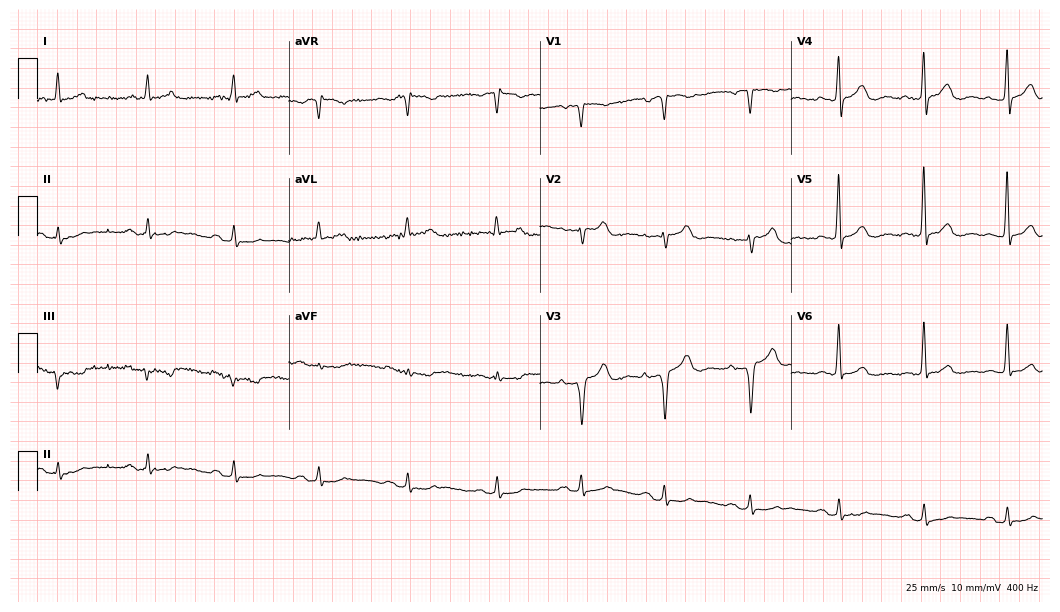
Resting 12-lead electrocardiogram (10.2-second recording at 400 Hz). Patient: a man, 72 years old. None of these six findings is recorded: first-degree AV block, right bundle branch block, left bundle branch block, sinus bradycardia, atrial fibrillation, sinus tachycardia. Findings outside these six are not listed.